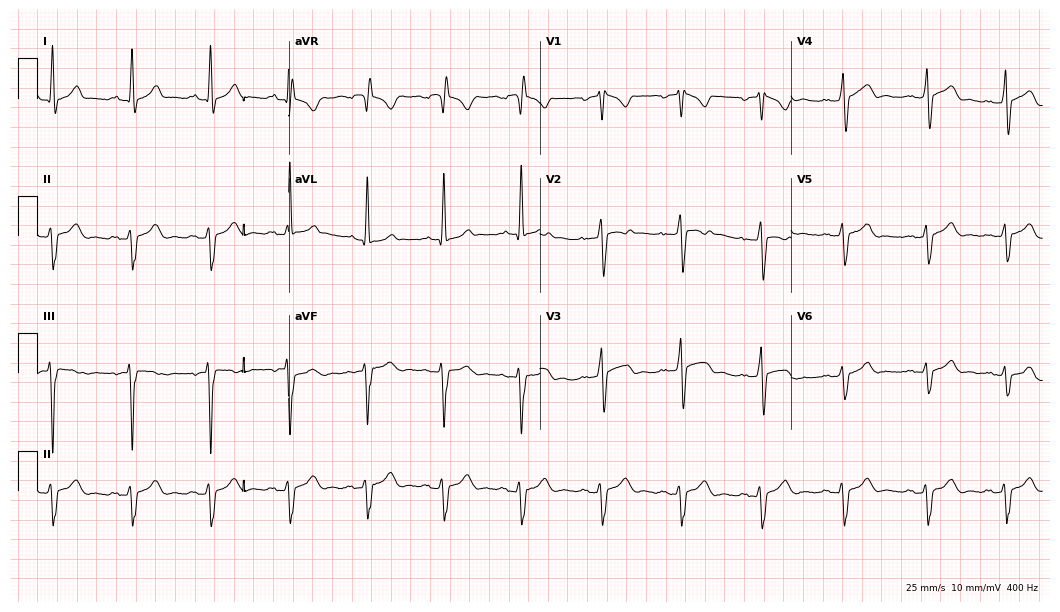
Resting 12-lead electrocardiogram (10.2-second recording at 400 Hz). Patient: a male, 29 years old. None of these six findings is recorded: first-degree AV block, right bundle branch block, left bundle branch block, sinus bradycardia, atrial fibrillation, sinus tachycardia.